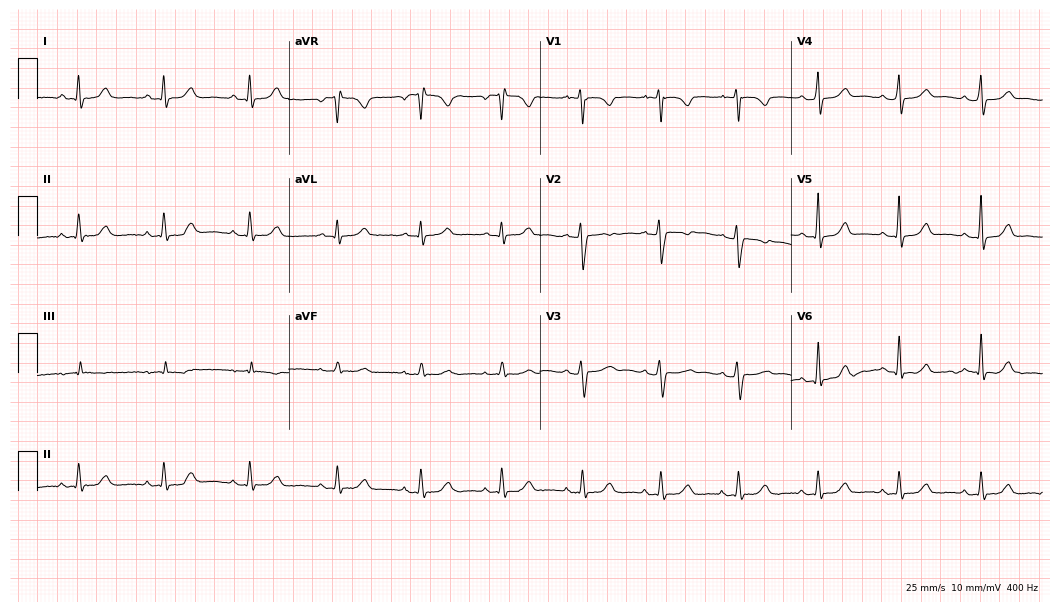
Standard 12-lead ECG recorded from a 45-year-old female patient (10.2-second recording at 400 Hz). None of these six findings is recorded: first-degree AV block, right bundle branch block, left bundle branch block, sinus bradycardia, atrial fibrillation, sinus tachycardia. Findings outside these six are not listed.